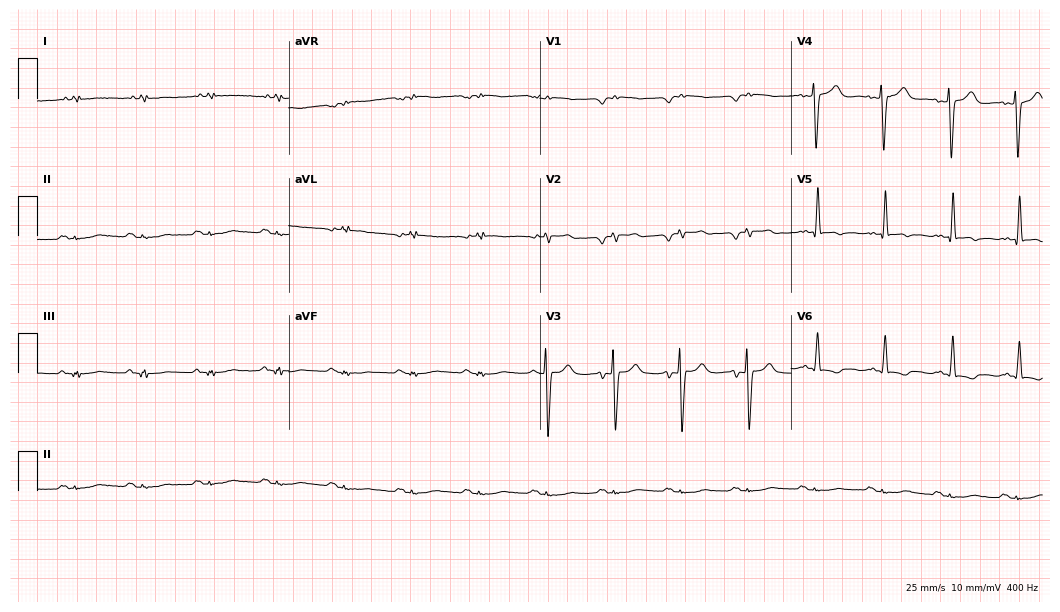
Electrocardiogram, a man, 47 years old. Of the six screened findings (first-degree AV block, right bundle branch block, left bundle branch block, sinus bradycardia, atrial fibrillation, sinus tachycardia), none is recorded.